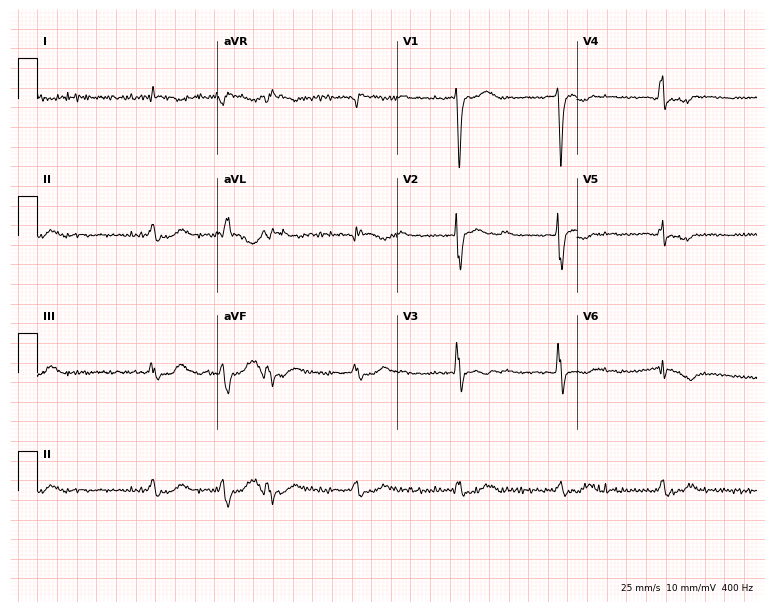
Standard 12-lead ECG recorded from a male patient, 63 years old (7.3-second recording at 400 Hz). The tracing shows left bundle branch block, atrial fibrillation.